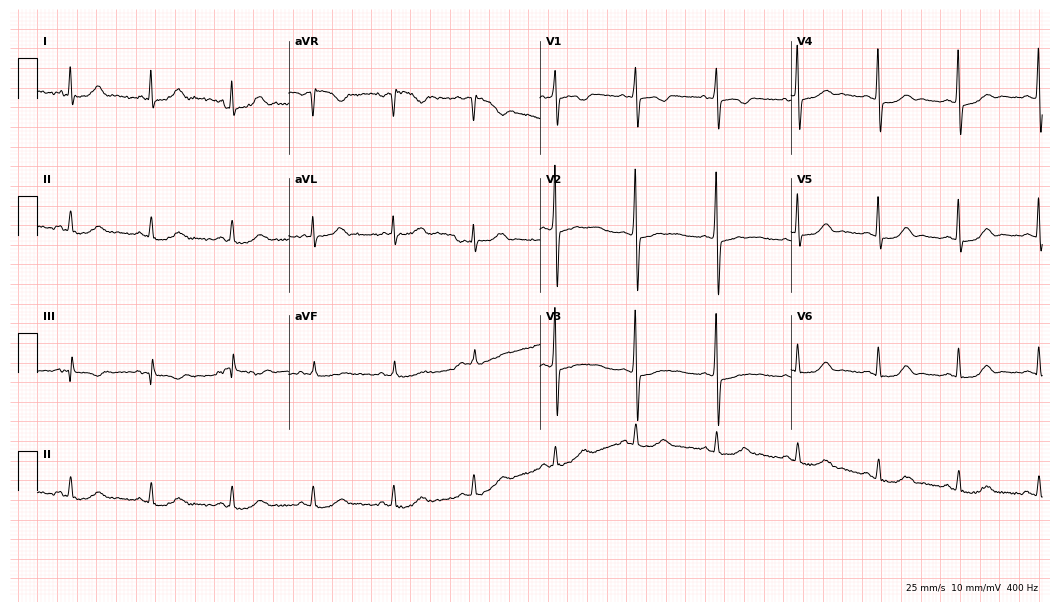
Resting 12-lead electrocardiogram (10.2-second recording at 400 Hz). Patient: an 80-year-old female. None of these six findings is recorded: first-degree AV block, right bundle branch block, left bundle branch block, sinus bradycardia, atrial fibrillation, sinus tachycardia.